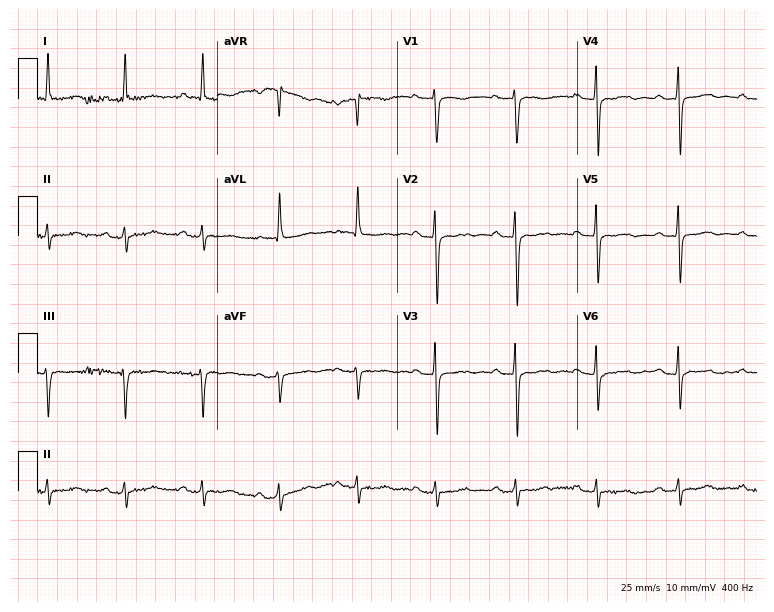
Resting 12-lead electrocardiogram. Patient: an 80-year-old woman. None of these six findings is recorded: first-degree AV block, right bundle branch block, left bundle branch block, sinus bradycardia, atrial fibrillation, sinus tachycardia. Findings outside these six are not listed.